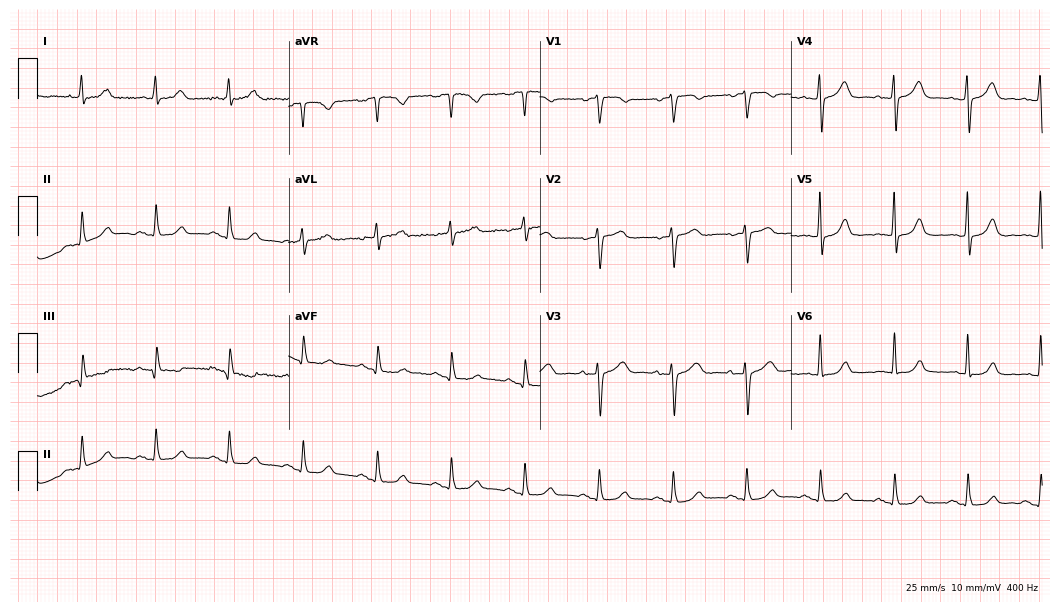
Electrocardiogram (10.2-second recording at 400 Hz), a female patient, 65 years old. Overall reading on record: normal ECG.